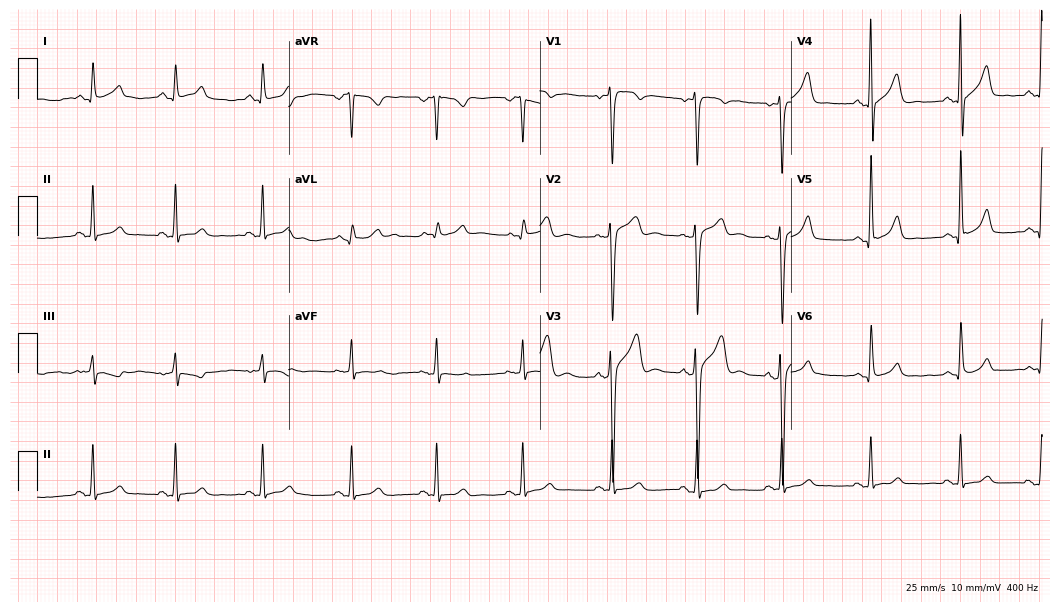
ECG — a man, 29 years old. Screened for six findings — first-degree AV block, right bundle branch block (RBBB), left bundle branch block (LBBB), sinus bradycardia, atrial fibrillation (AF), sinus tachycardia — none is recorded.